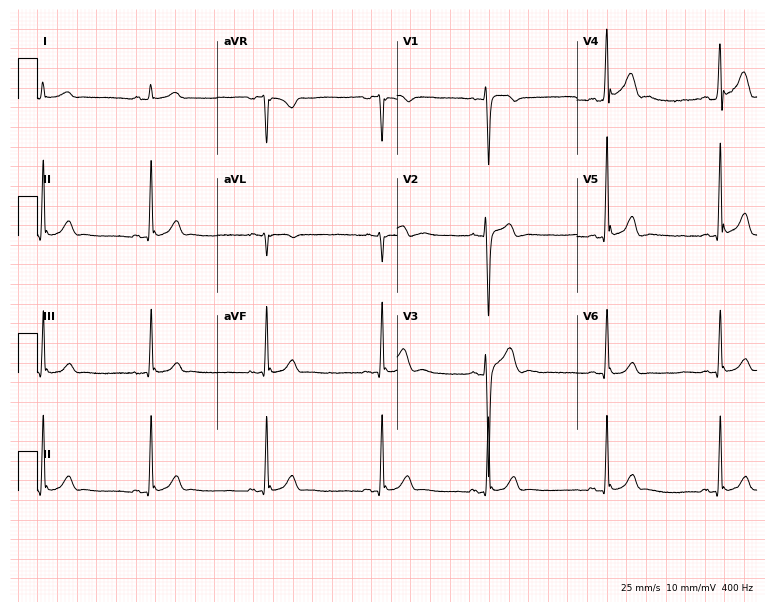
12-lead ECG (7.3-second recording at 400 Hz) from a man, 26 years old. Labelled as a normal ECG.